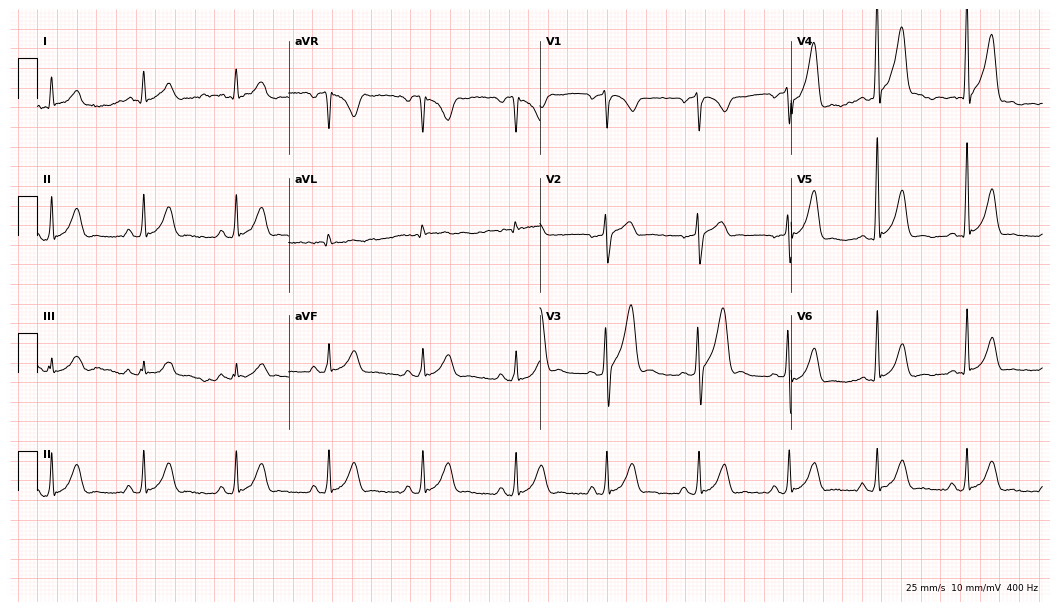
Electrocardiogram, a male patient, 62 years old. Overall reading on record: normal ECG.